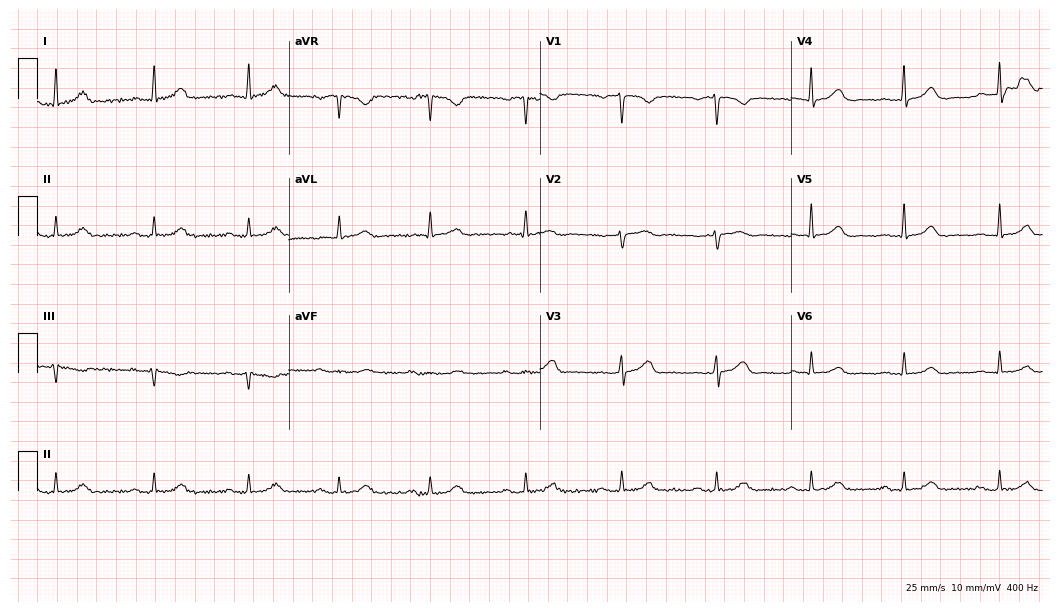
Resting 12-lead electrocardiogram. Patient: a female, 38 years old. The tracing shows first-degree AV block.